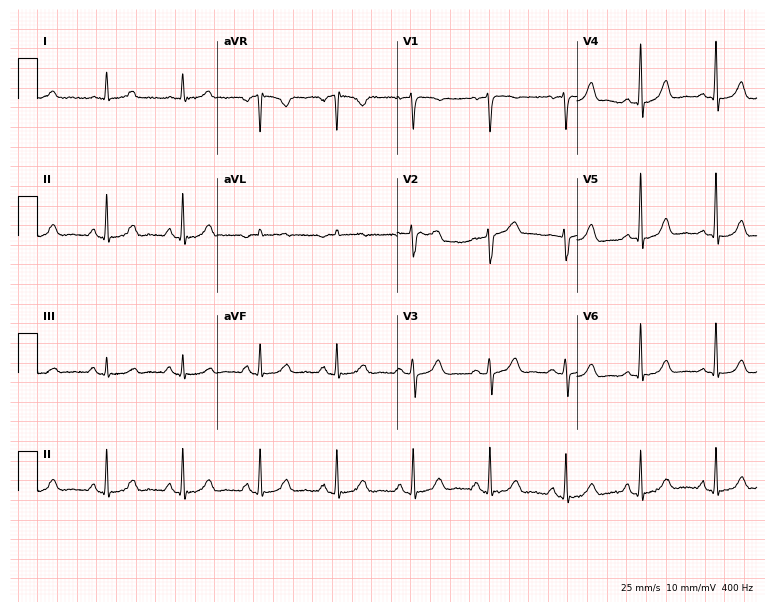
12-lead ECG from a female, 54 years old. Recorded interpretation: within normal limits.